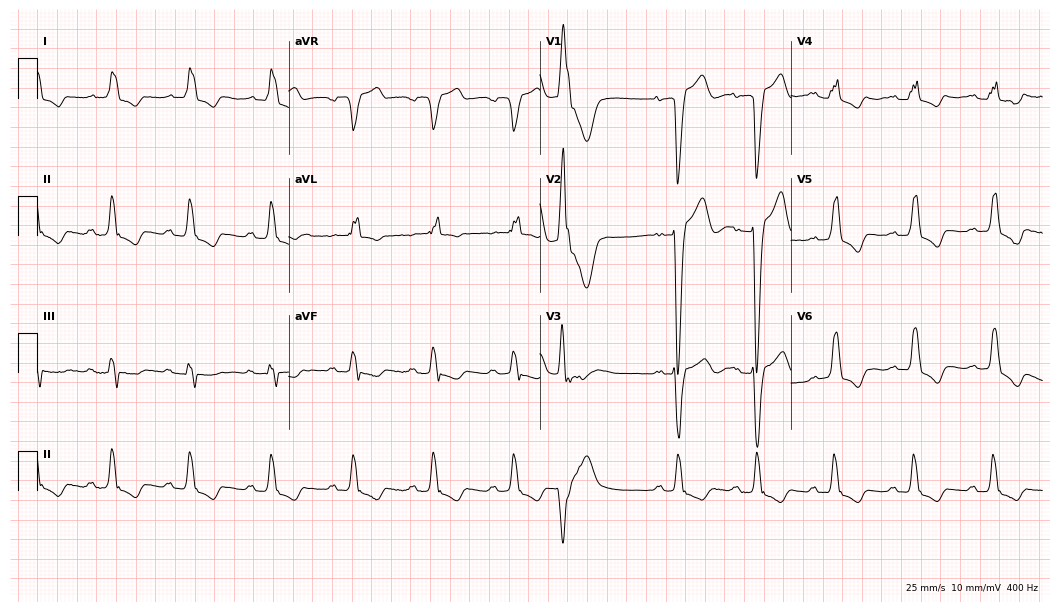
12-lead ECG (10.2-second recording at 400 Hz) from an 85-year-old male patient. Findings include left bundle branch block.